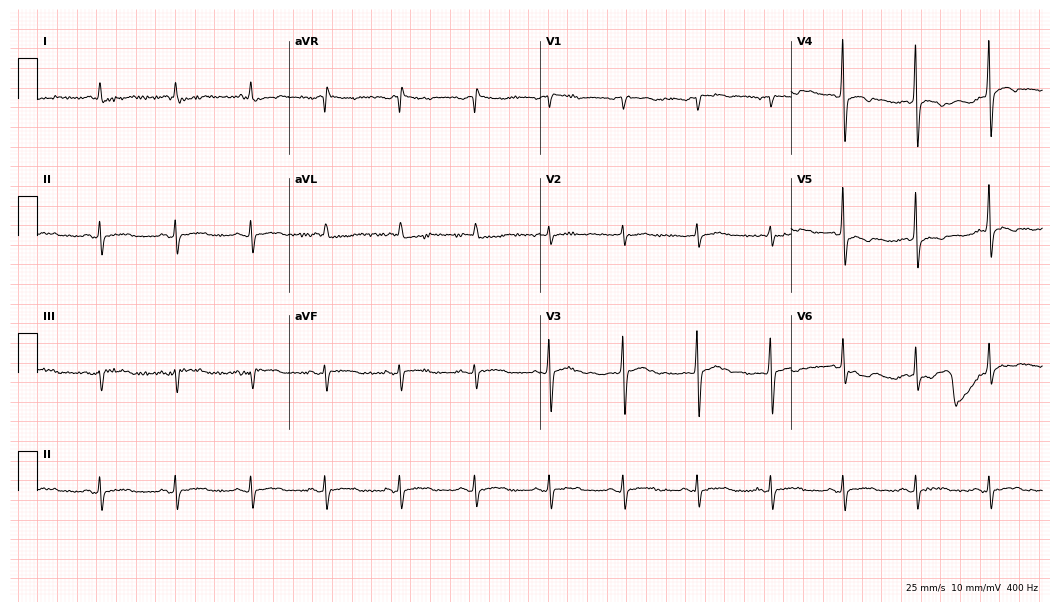
Electrocardiogram (10.2-second recording at 400 Hz), a female patient, 73 years old. Of the six screened findings (first-degree AV block, right bundle branch block, left bundle branch block, sinus bradycardia, atrial fibrillation, sinus tachycardia), none is recorded.